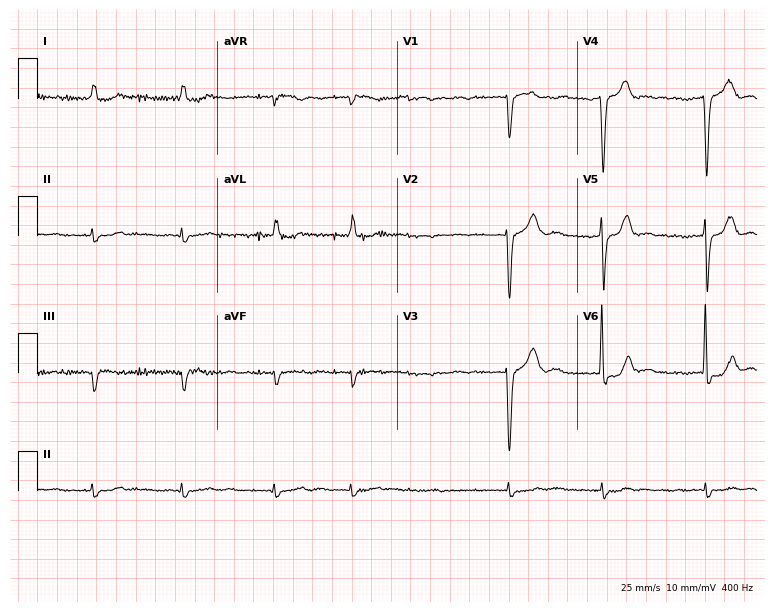
12-lead ECG from a 70-year-old woman. Shows atrial fibrillation (AF).